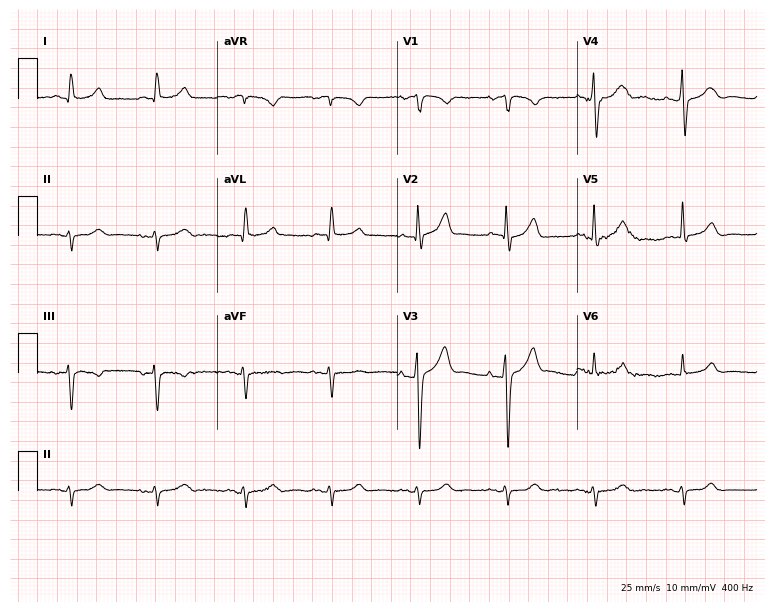
Electrocardiogram (7.3-second recording at 400 Hz), an 80-year-old male. Of the six screened findings (first-degree AV block, right bundle branch block, left bundle branch block, sinus bradycardia, atrial fibrillation, sinus tachycardia), none is recorded.